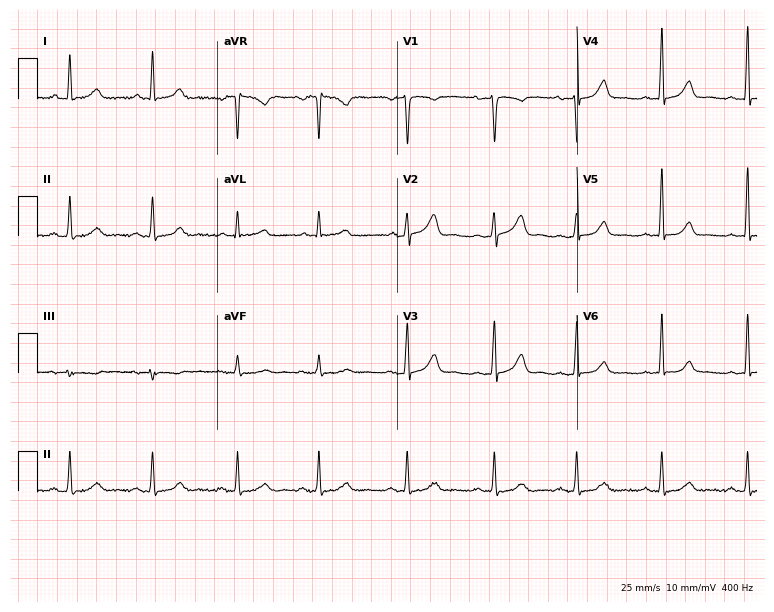
12-lead ECG from a 34-year-old female. Recorded interpretation: within normal limits.